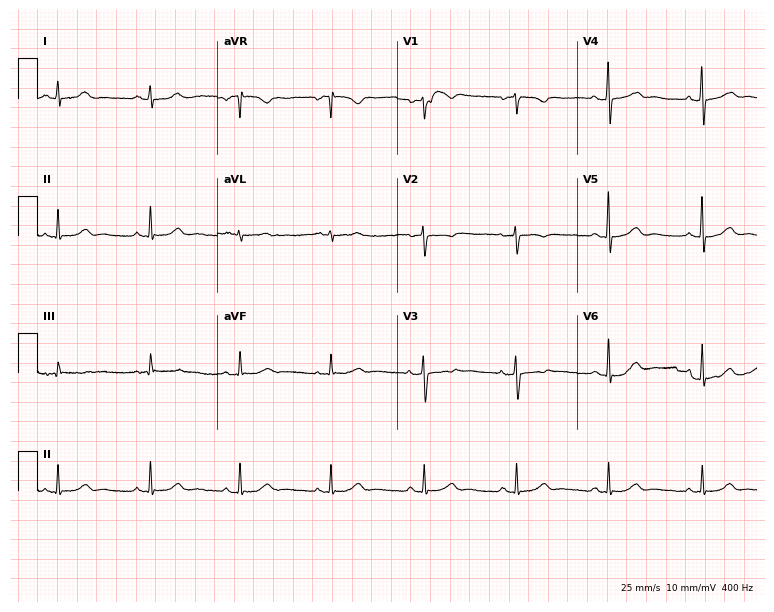
Electrocardiogram, a 55-year-old female. Overall reading on record: normal ECG.